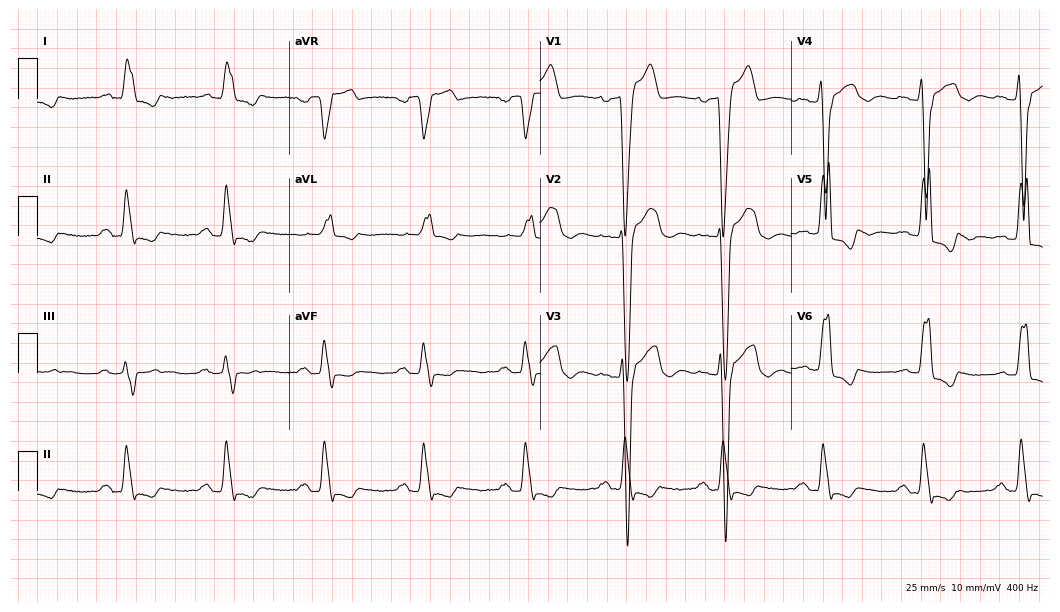
Electrocardiogram (10.2-second recording at 400 Hz), a 66-year-old male patient. Of the six screened findings (first-degree AV block, right bundle branch block (RBBB), left bundle branch block (LBBB), sinus bradycardia, atrial fibrillation (AF), sinus tachycardia), none is recorded. Only these six findings were labelled.